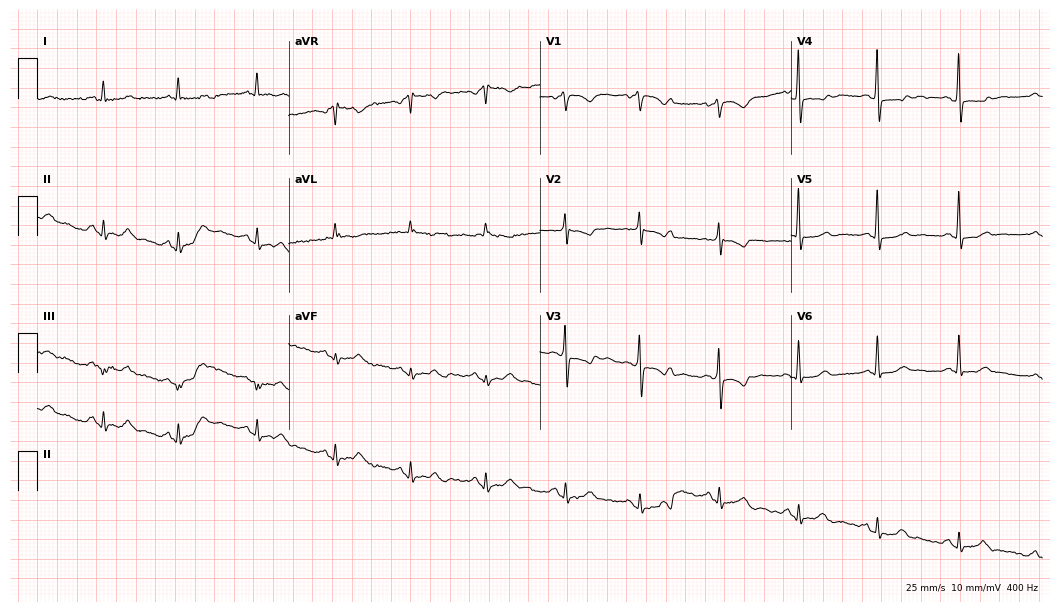
Electrocardiogram, a 68-year-old male. Of the six screened findings (first-degree AV block, right bundle branch block (RBBB), left bundle branch block (LBBB), sinus bradycardia, atrial fibrillation (AF), sinus tachycardia), none is recorded.